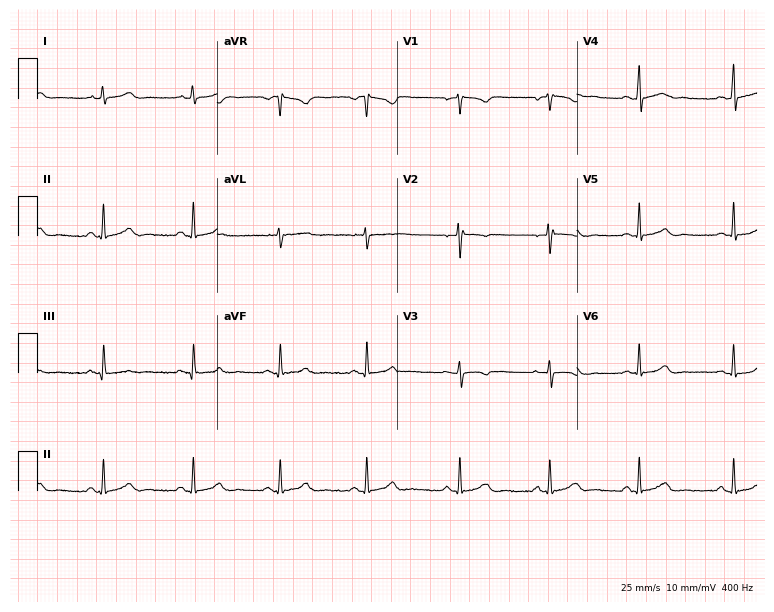
Resting 12-lead electrocardiogram. Patient: a woman, 27 years old. Read as a normal ECG.